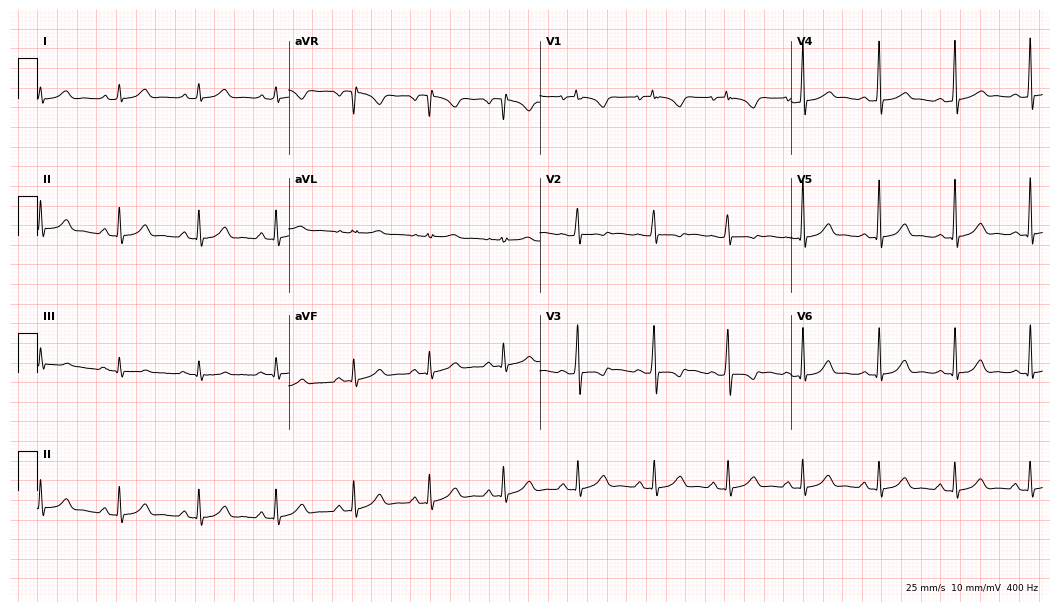
Standard 12-lead ECG recorded from a woman, 24 years old (10.2-second recording at 400 Hz). Read as a normal ECG.